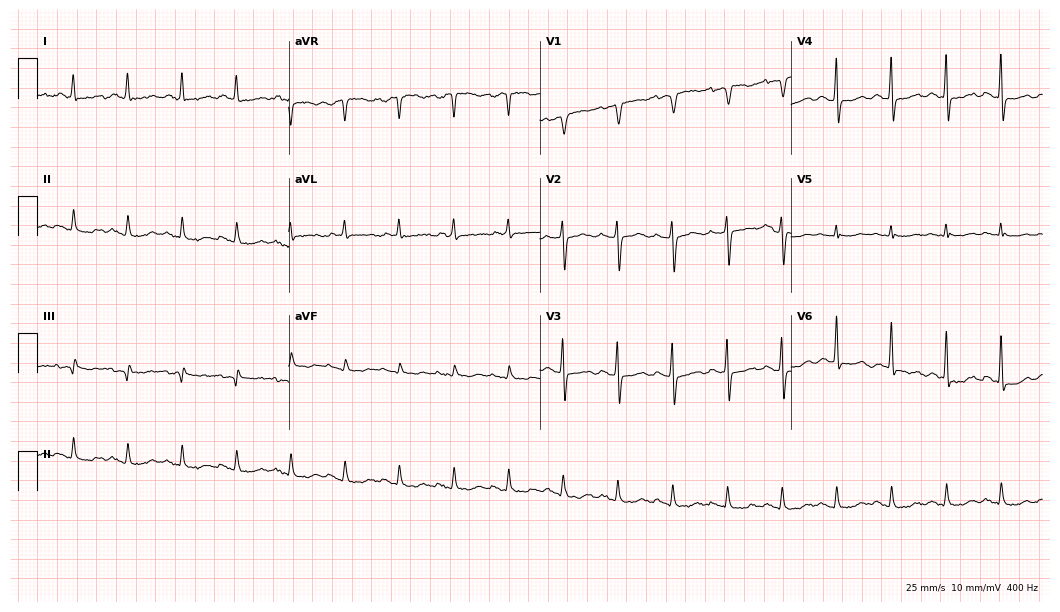
Standard 12-lead ECG recorded from an 83-year-old male patient. The tracing shows sinus tachycardia (a sinus rate of 100 beats per minute or more).